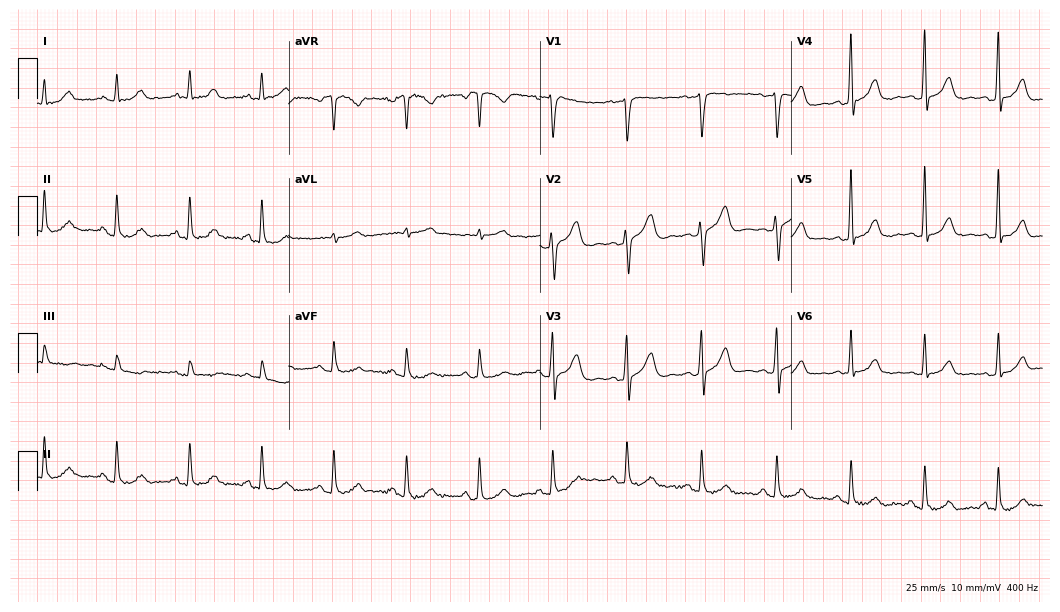
Resting 12-lead electrocardiogram (10.2-second recording at 400 Hz). Patient: a 55-year-old male. Read as a normal ECG.